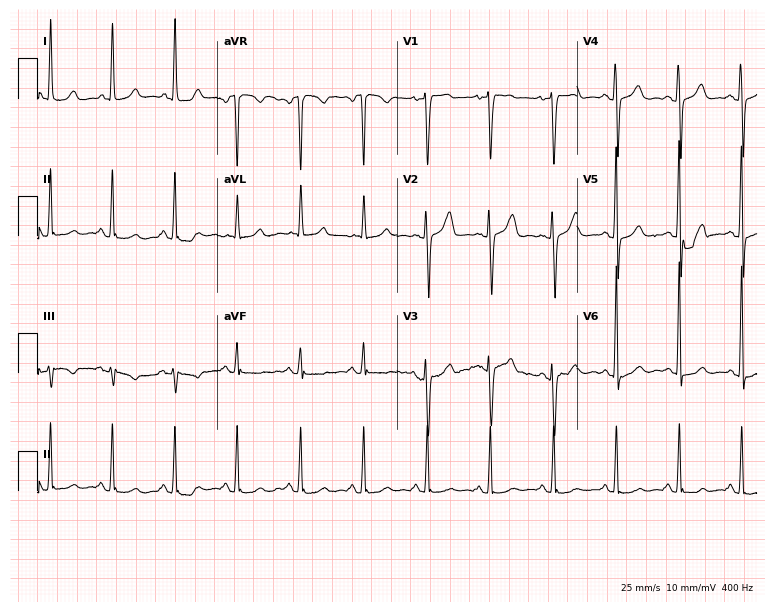
Resting 12-lead electrocardiogram. Patient: a 51-year-old female. None of these six findings is recorded: first-degree AV block, right bundle branch block (RBBB), left bundle branch block (LBBB), sinus bradycardia, atrial fibrillation (AF), sinus tachycardia. Findings outside these six are not listed.